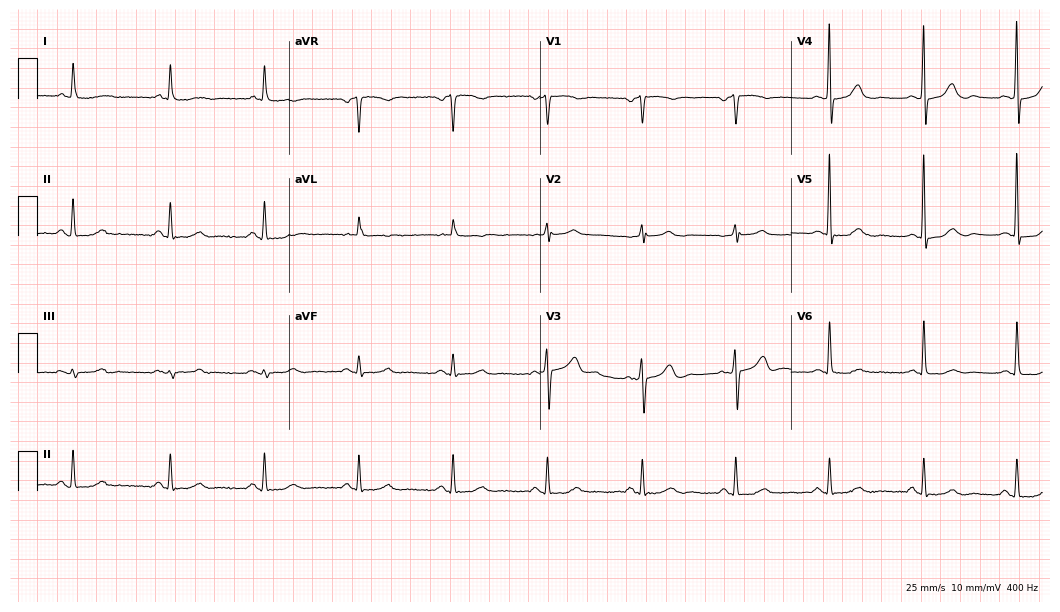
Resting 12-lead electrocardiogram (10.2-second recording at 400 Hz). Patient: a 77-year-old female. Read as a normal ECG.